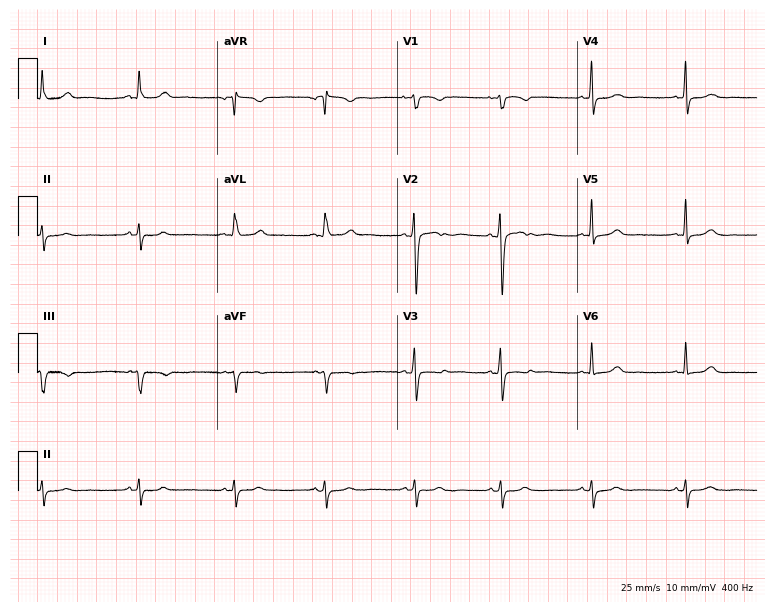
Electrocardiogram (7.3-second recording at 400 Hz), a 32-year-old female. Overall reading on record: normal ECG.